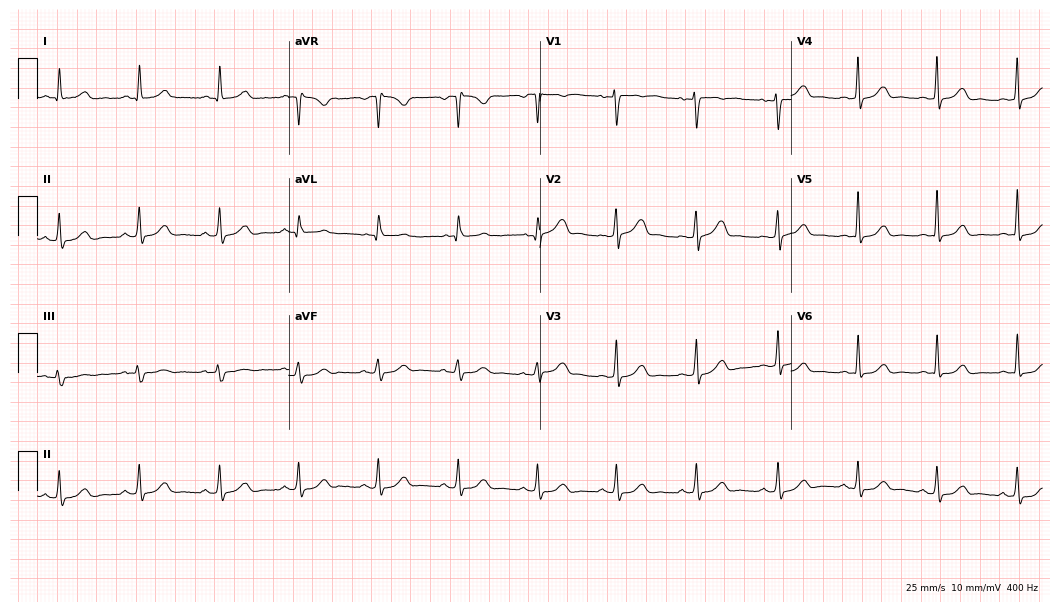
ECG — a 44-year-old female. Labelled as a normal ECG.